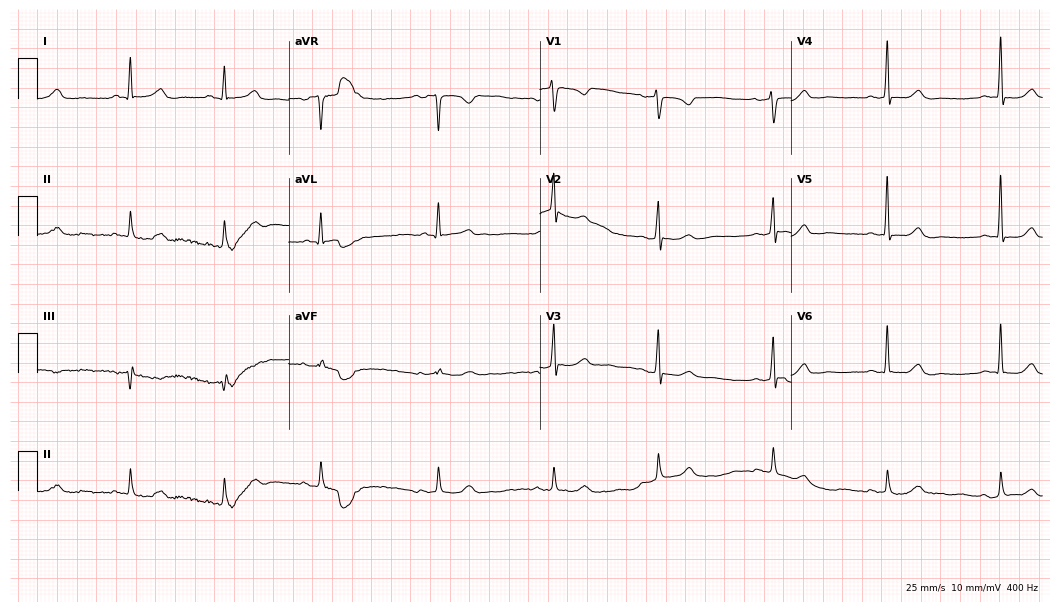
Standard 12-lead ECG recorded from a 73-year-old female. Read as a normal ECG.